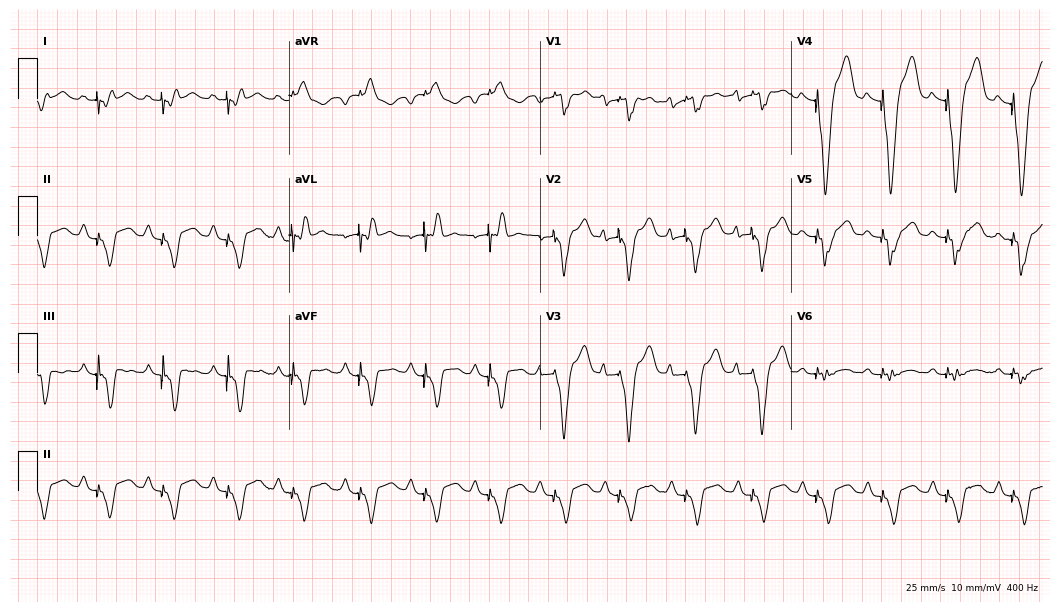
Electrocardiogram (10.2-second recording at 400 Hz), a 60-year-old female patient. Of the six screened findings (first-degree AV block, right bundle branch block (RBBB), left bundle branch block (LBBB), sinus bradycardia, atrial fibrillation (AF), sinus tachycardia), none is recorded. Other findings, if any, are not listed.